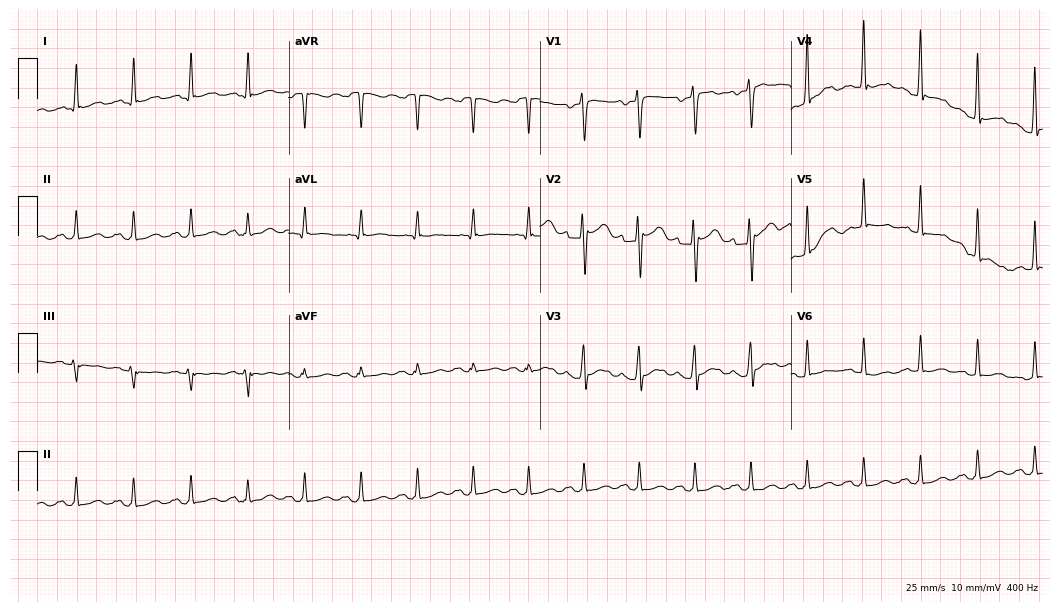
Resting 12-lead electrocardiogram (10.2-second recording at 400 Hz). Patient: a 41-year-old man. None of these six findings is recorded: first-degree AV block, right bundle branch block (RBBB), left bundle branch block (LBBB), sinus bradycardia, atrial fibrillation (AF), sinus tachycardia. Only these six findings were labelled.